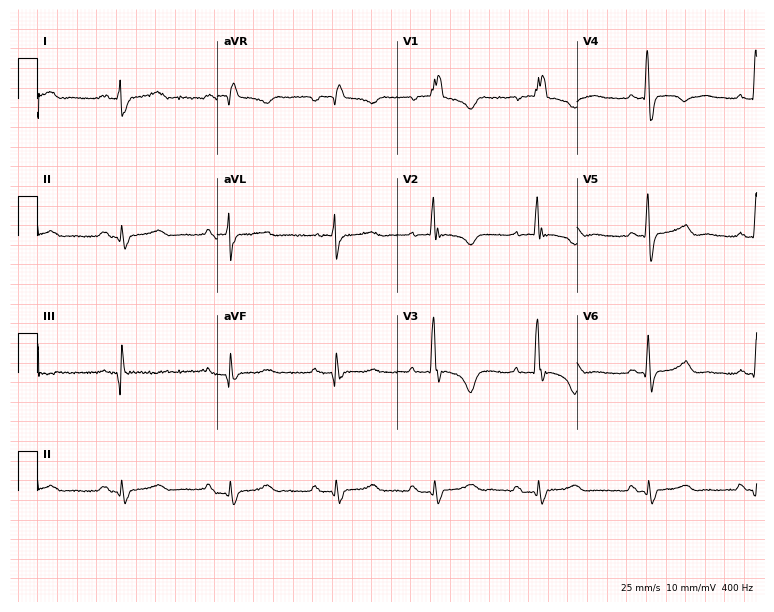
12-lead ECG from a 45-year-old female patient. Shows right bundle branch block (RBBB).